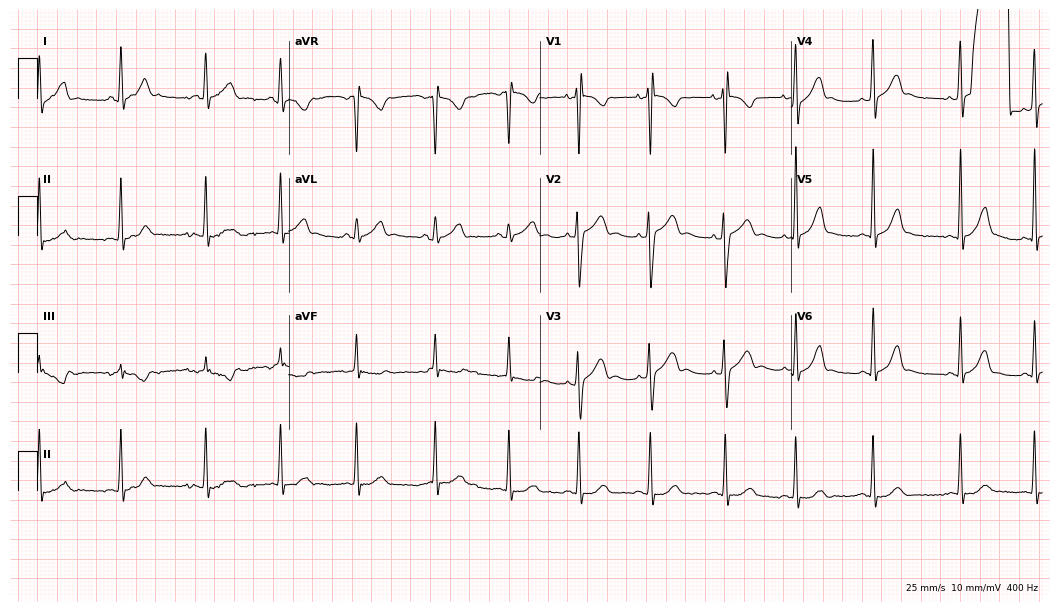
Electrocardiogram (10.2-second recording at 400 Hz), a female patient, 19 years old. Of the six screened findings (first-degree AV block, right bundle branch block, left bundle branch block, sinus bradycardia, atrial fibrillation, sinus tachycardia), none is recorded. Findings outside these six are not listed.